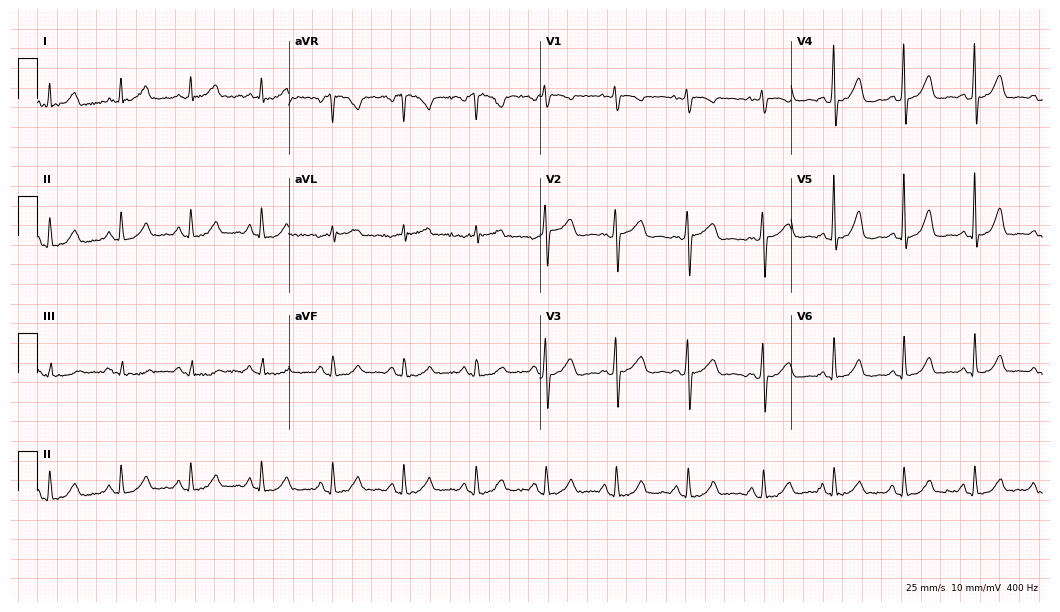
12-lead ECG from a woman, 72 years old. No first-degree AV block, right bundle branch block (RBBB), left bundle branch block (LBBB), sinus bradycardia, atrial fibrillation (AF) or sinus tachycardia recorded for this tracing. Only these six findings were labelled.